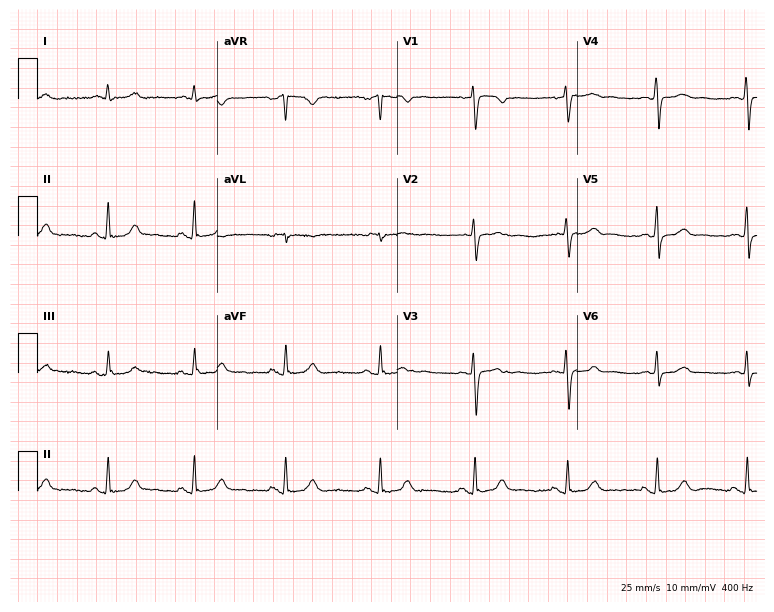
12-lead ECG from a woman, 49 years old. Labelled as a normal ECG.